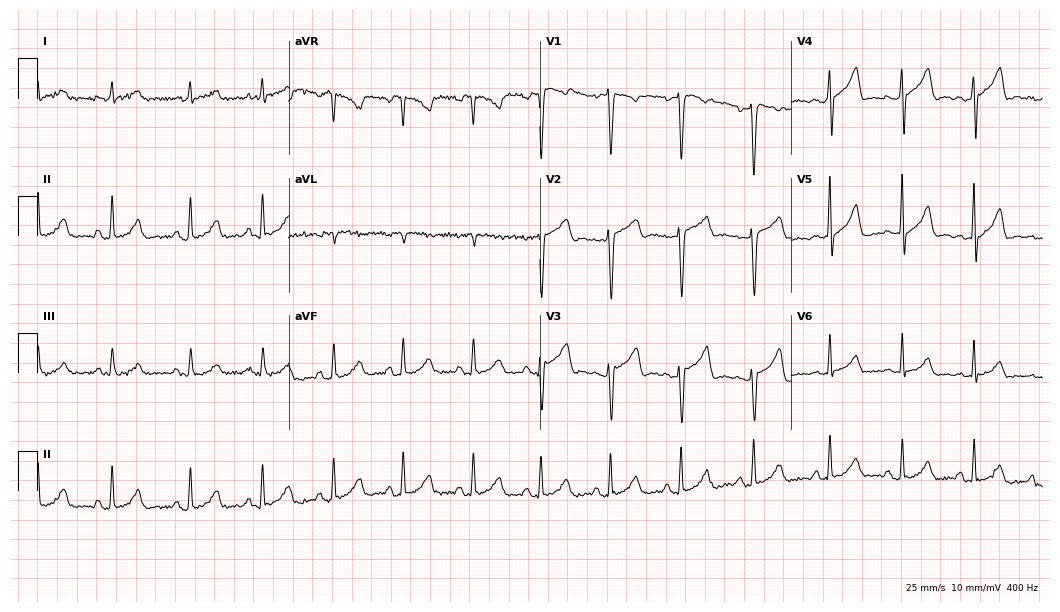
Resting 12-lead electrocardiogram. Patient: a 72-year-old male. Read as a normal ECG.